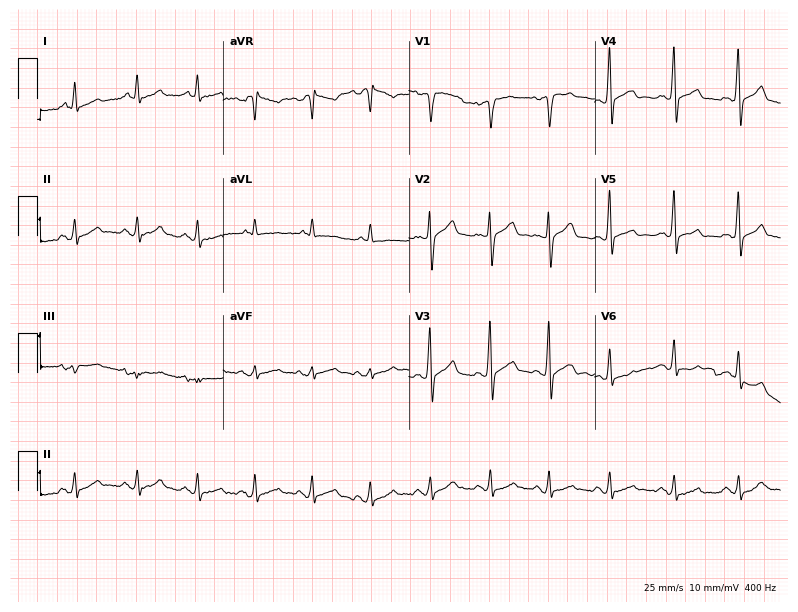
ECG (7.6-second recording at 400 Hz) — a 43-year-old male. Screened for six findings — first-degree AV block, right bundle branch block, left bundle branch block, sinus bradycardia, atrial fibrillation, sinus tachycardia — none is recorded.